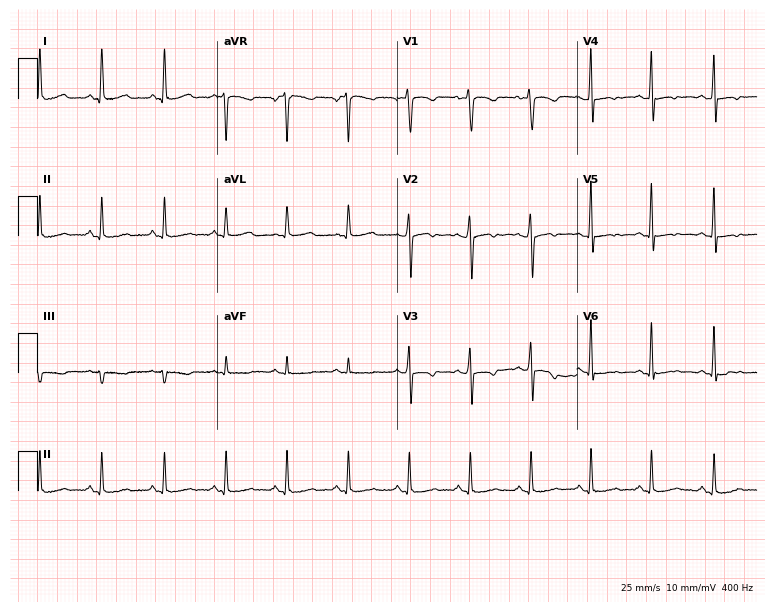
12-lead ECG (7.3-second recording at 400 Hz) from a 44-year-old woman. Labelled as a normal ECG.